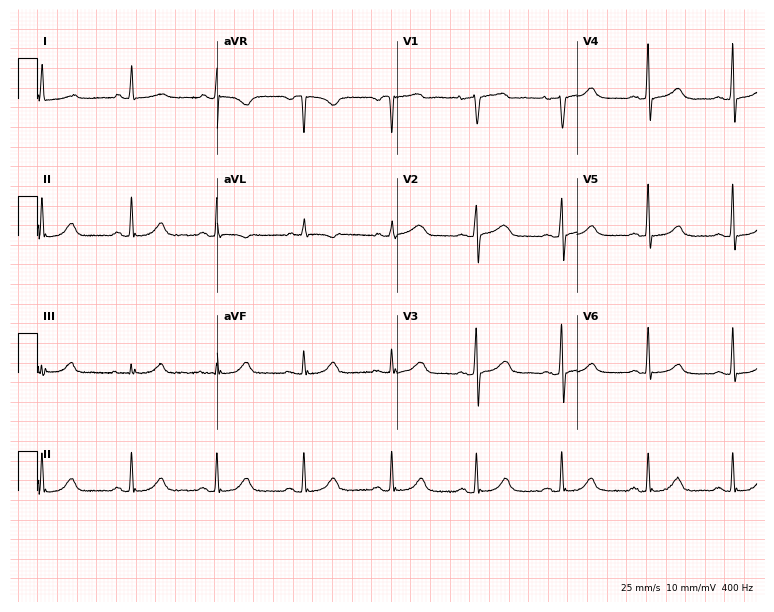
Electrocardiogram (7.3-second recording at 400 Hz), a female, 62 years old. Of the six screened findings (first-degree AV block, right bundle branch block, left bundle branch block, sinus bradycardia, atrial fibrillation, sinus tachycardia), none is recorded. Other findings, if any, are not listed.